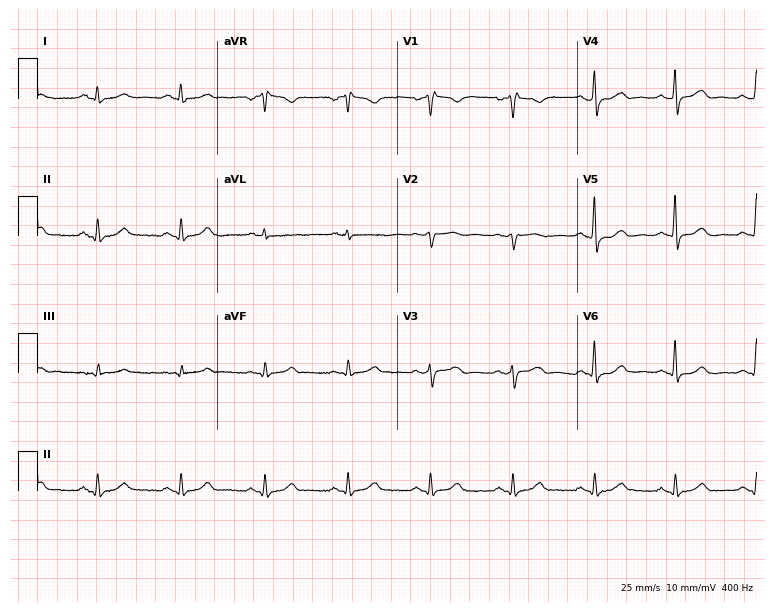
Standard 12-lead ECG recorded from a 61-year-old male patient (7.3-second recording at 400 Hz). None of these six findings is recorded: first-degree AV block, right bundle branch block (RBBB), left bundle branch block (LBBB), sinus bradycardia, atrial fibrillation (AF), sinus tachycardia. Findings outside these six are not listed.